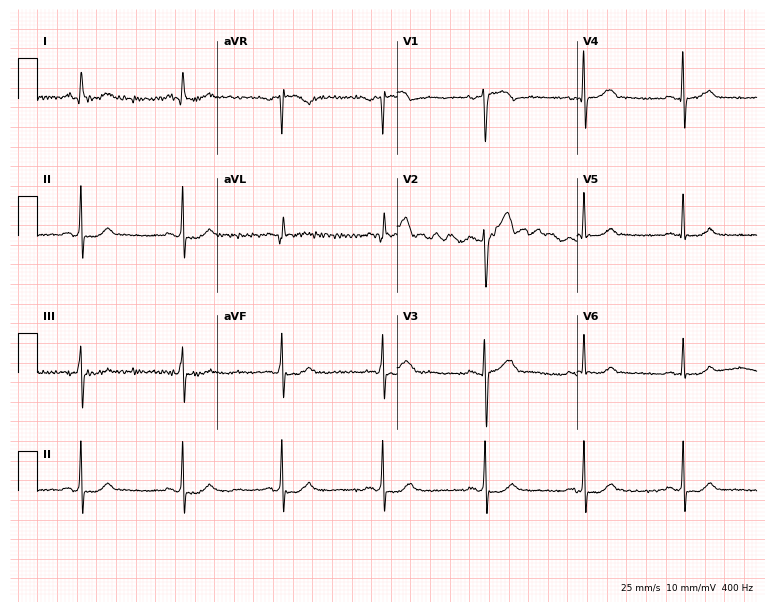
ECG — a 54-year-old male. Screened for six findings — first-degree AV block, right bundle branch block, left bundle branch block, sinus bradycardia, atrial fibrillation, sinus tachycardia — none is recorded. Other findings, if any, are not listed.